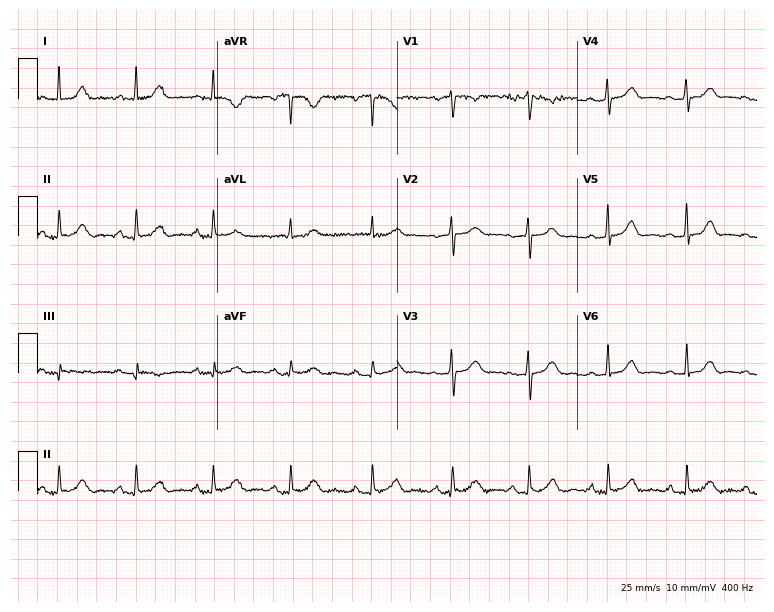
ECG (7.3-second recording at 400 Hz) — a 38-year-old female. Labelled as a normal ECG.